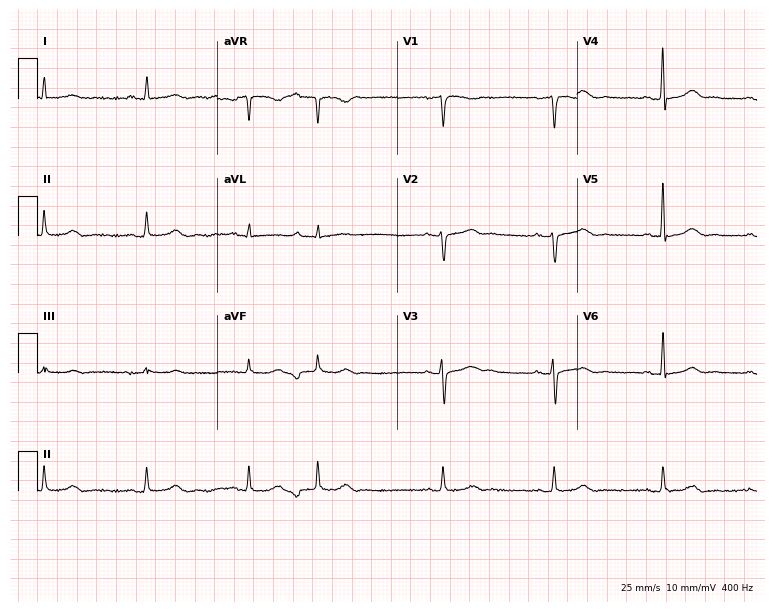
12-lead ECG from a 58-year-old female patient. No first-degree AV block, right bundle branch block, left bundle branch block, sinus bradycardia, atrial fibrillation or sinus tachycardia recorded for this tracing. Findings outside these six are not listed.